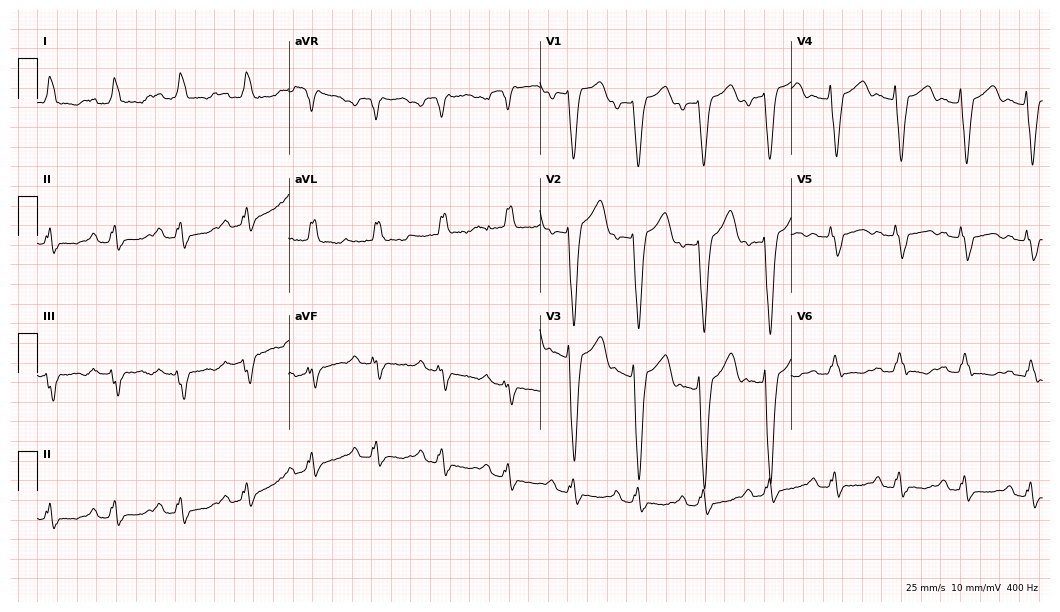
Standard 12-lead ECG recorded from a woman, 65 years old (10.2-second recording at 400 Hz). None of these six findings is recorded: first-degree AV block, right bundle branch block, left bundle branch block, sinus bradycardia, atrial fibrillation, sinus tachycardia.